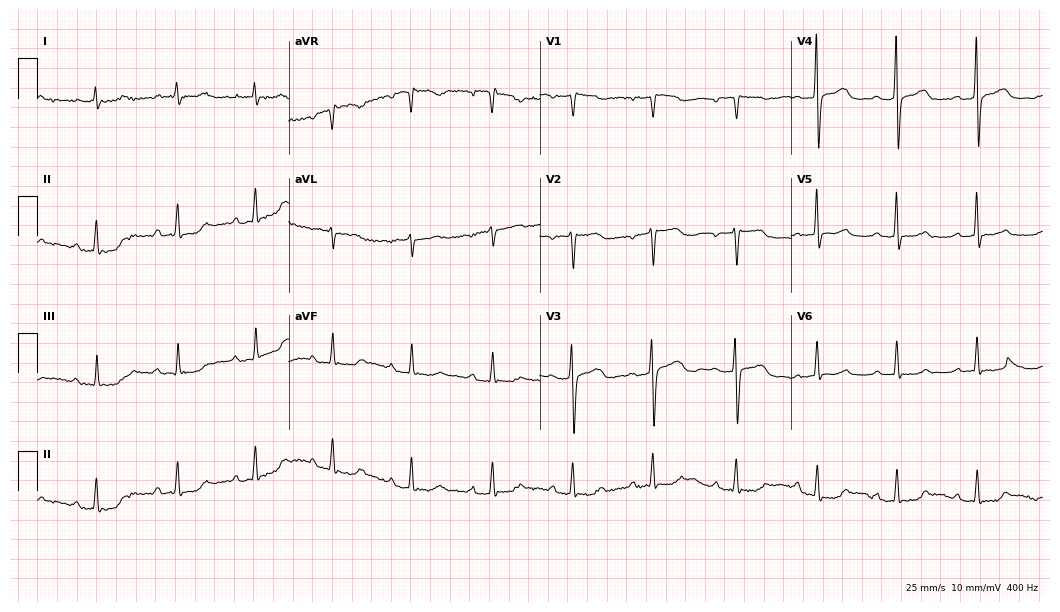
ECG (10.2-second recording at 400 Hz) — a woman, 51 years old. Labelled as a normal ECG.